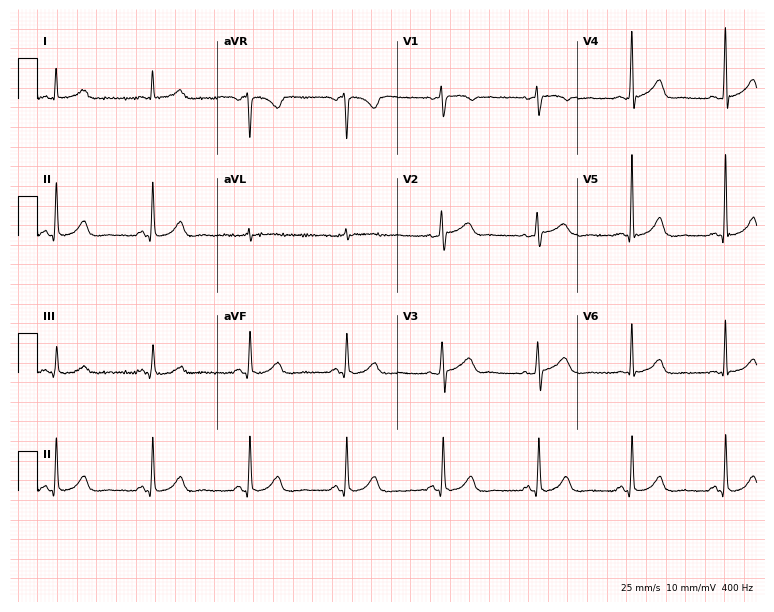
12-lead ECG (7.3-second recording at 400 Hz) from a woman, 50 years old. Screened for six findings — first-degree AV block, right bundle branch block (RBBB), left bundle branch block (LBBB), sinus bradycardia, atrial fibrillation (AF), sinus tachycardia — none is recorded.